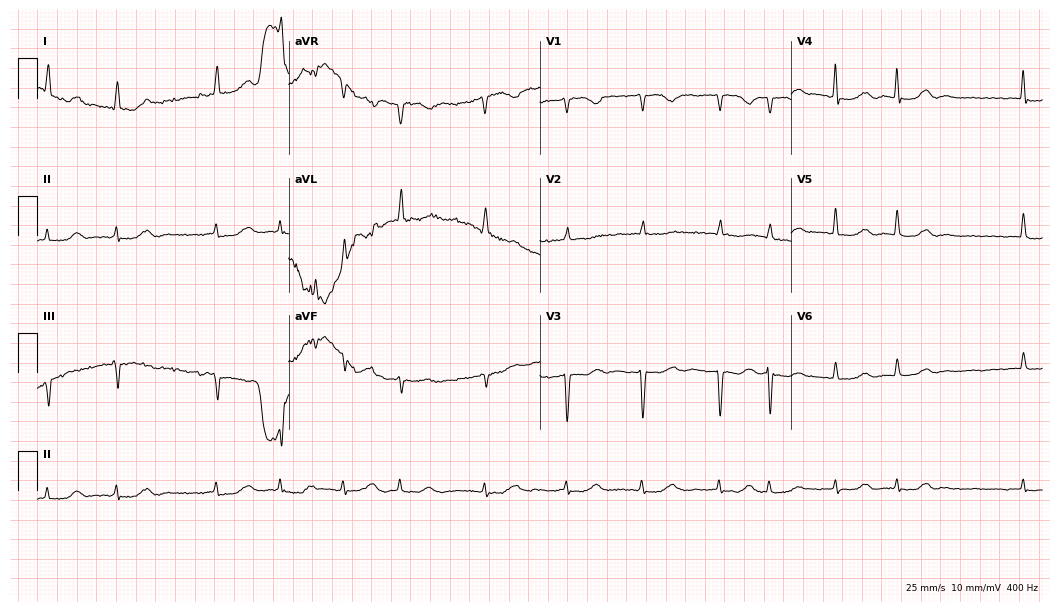
12-lead ECG from a female patient, 70 years old (10.2-second recording at 400 Hz). Shows atrial fibrillation.